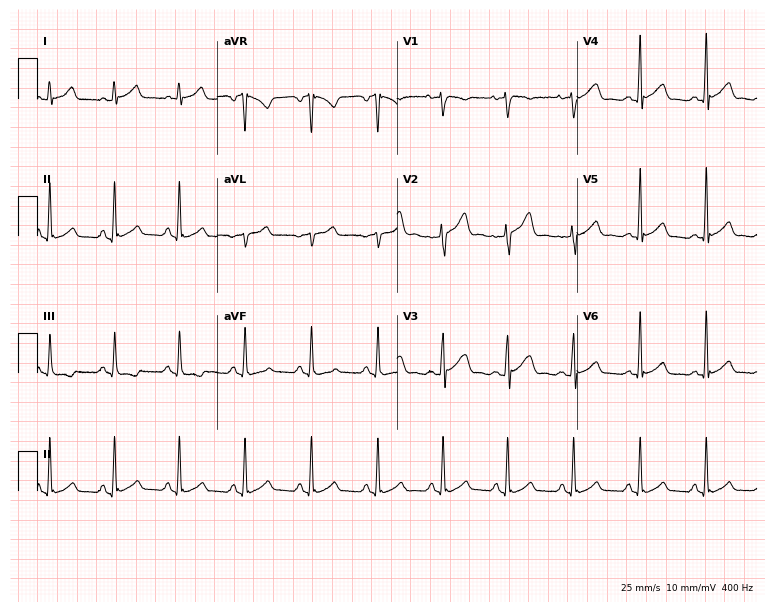
Electrocardiogram (7.3-second recording at 400 Hz), a male patient, 28 years old. Of the six screened findings (first-degree AV block, right bundle branch block, left bundle branch block, sinus bradycardia, atrial fibrillation, sinus tachycardia), none is recorded. Other findings, if any, are not listed.